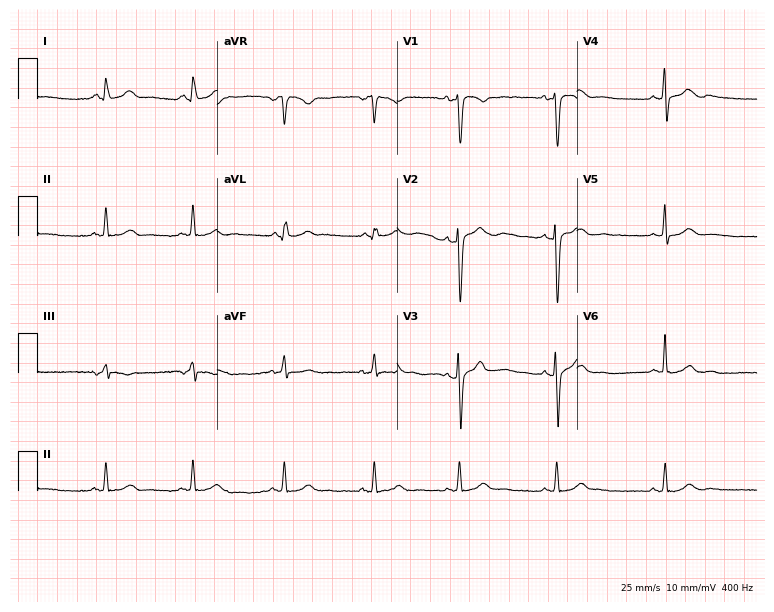
Electrocardiogram, a female patient, 30 years old. Overall reading on record: normal ECG.